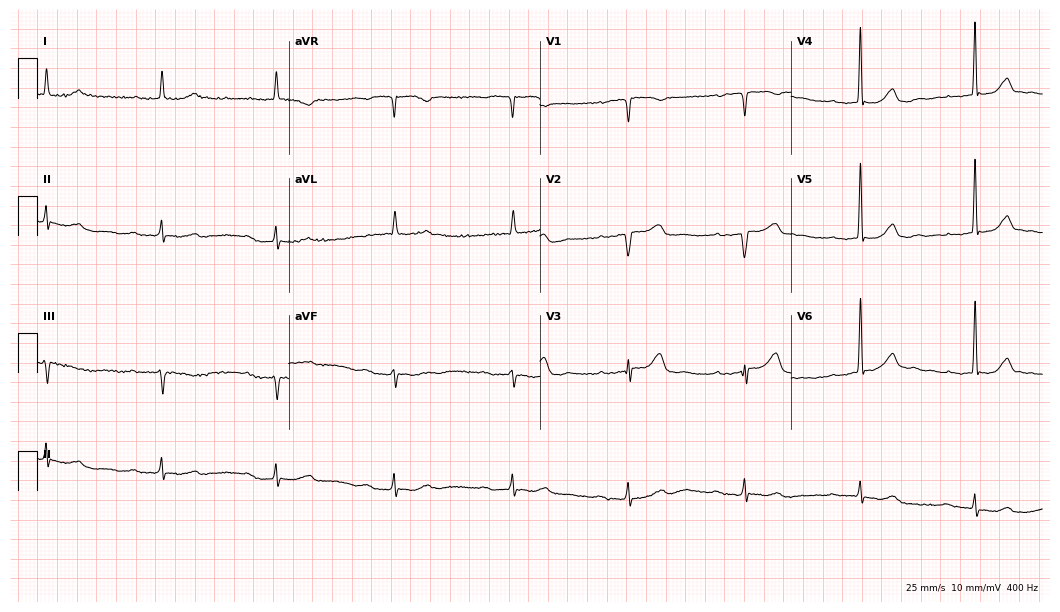
Electrocardiogram (10.2-second recording at 400 Hz), a female patient, 84 years old. Interpretation includes first-degree AV block.